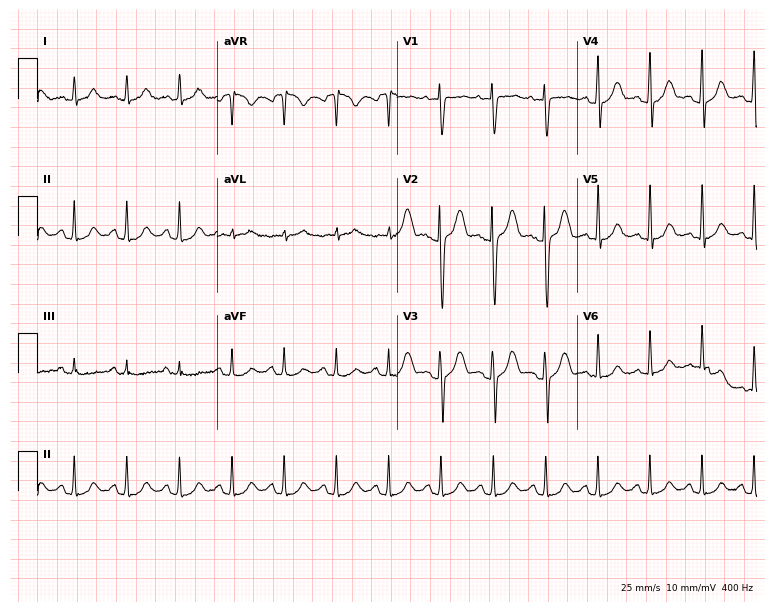
ECG — a man, 27 years old. Findings include sinus tachycardia (a sinus rate of 100 beats per minute or more).